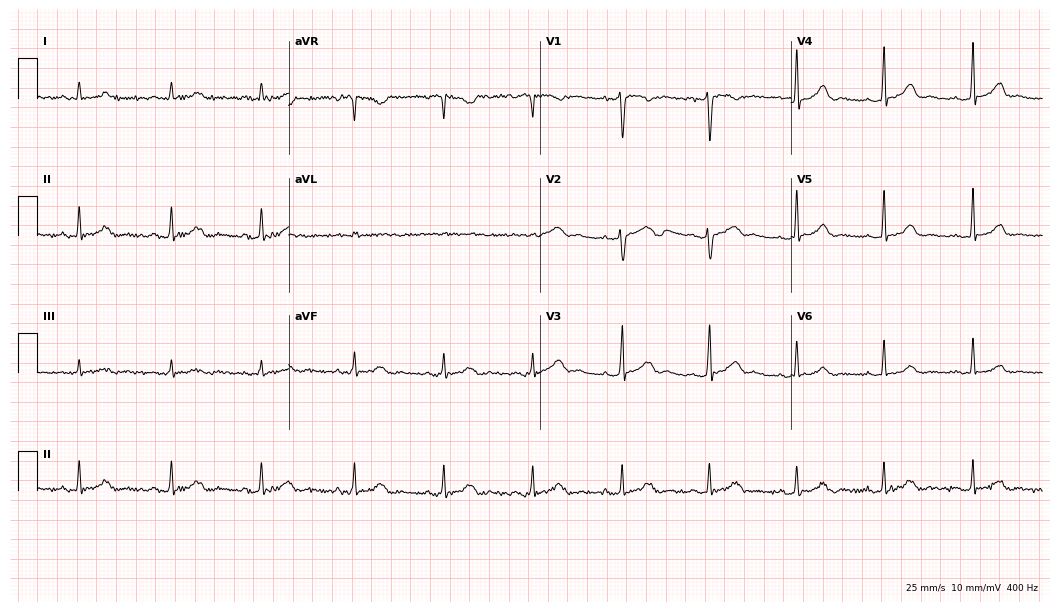
ECG (10.2-second recording at 400 Hz) — a 40-year-old female patient. Labelled as a normal ECG.